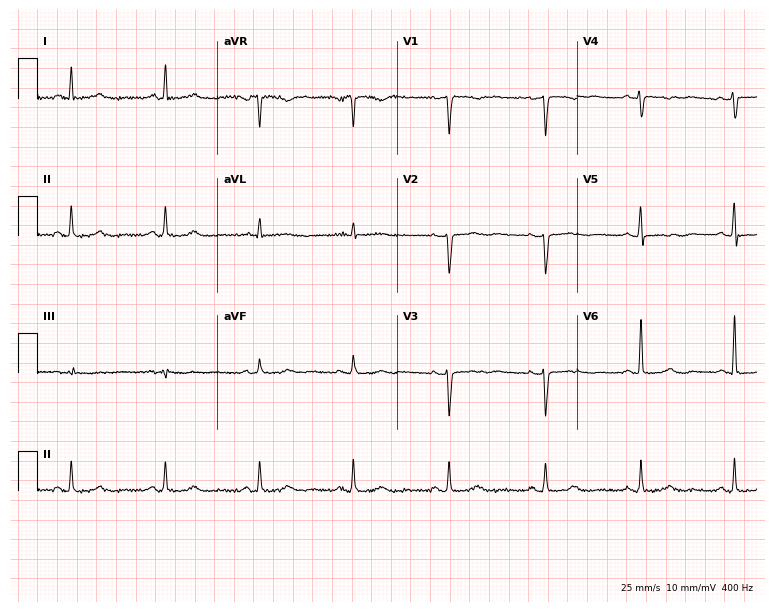
ECG — a 50-year-old woman. Screened for six findings — first-degree AV block, right bundle branch block (RBBB), left bundle branch block (LBBB), sinus bradycardia, atrial fibrillation (AF), sinus tachycardia — none is recorded. Findings outside these six are not listed.